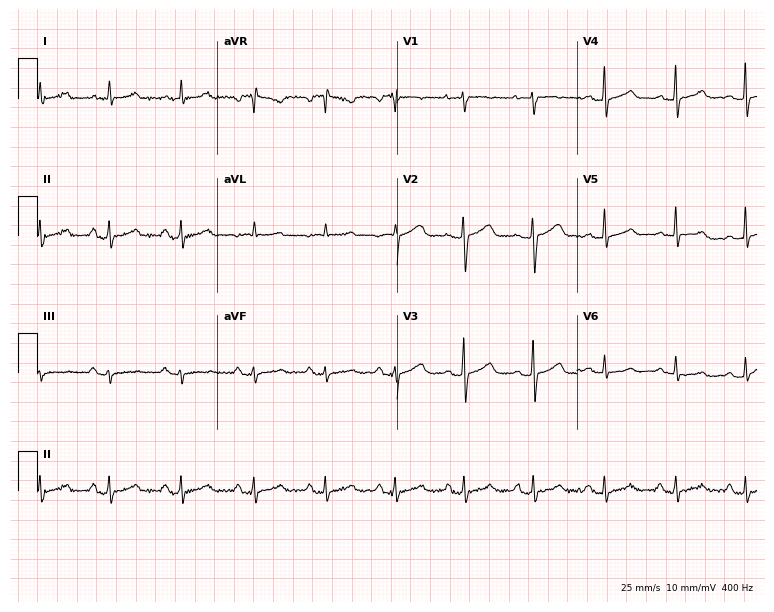
Electrocardiogram, a 51-year-old woman. Overall reading on record: normal ECG.